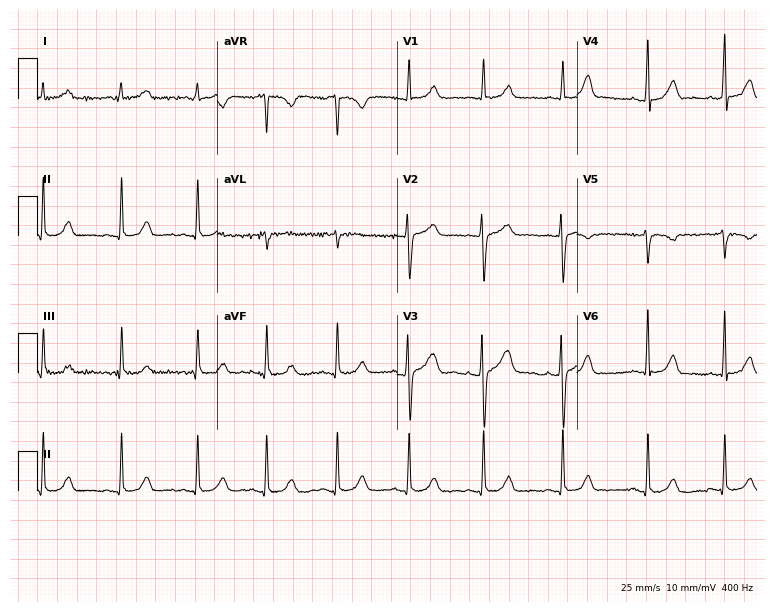
Resting 12-lead electrocardiogram (7.3-second recording at 400 Hz). Patient: a female, 26 years old. None of these six findings is recorded: first-degree AV block, right bundle branch block (RBBB), left bundle branch block (LBBB), sinus bradycardia, atrial fibrillation (AF), sinus tachycardia.